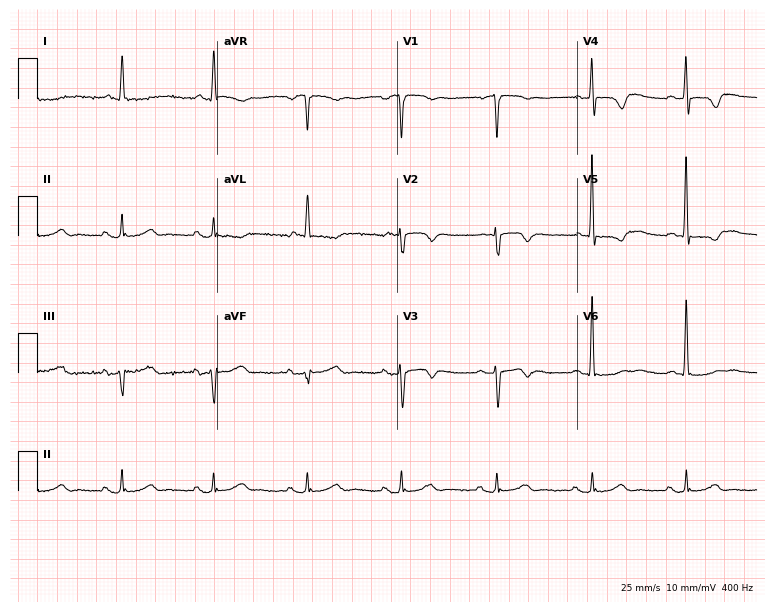
12-lead ECG from a 66-year-old male patient. Screened for six findings — first-degree AV block, right bundle branch block, left bundle branch block, sinus bradycardia, atrial fibrillation, sinus tachycardia — none is recorded. Findings outside these six are not listed.